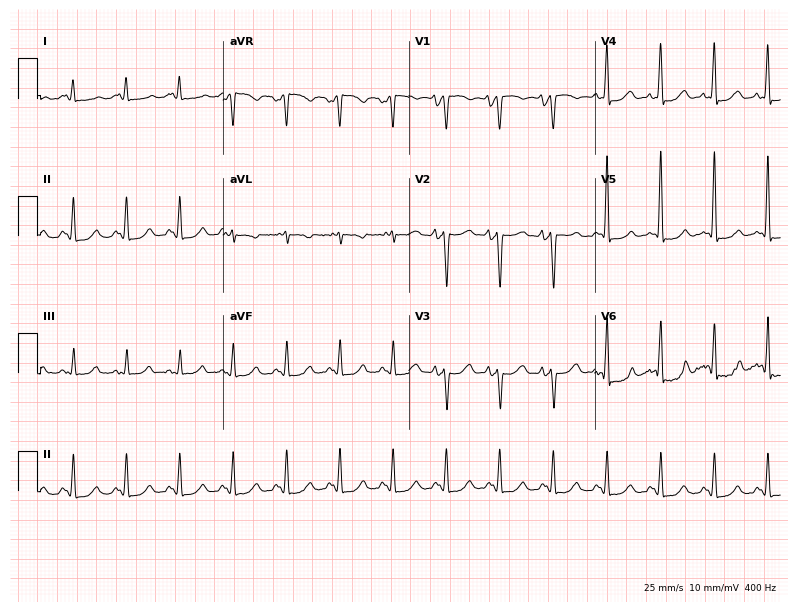
ECG (7.6-second recording at 400 Hz) — a 42-year-old female. Findings include sinus tachycardia (a sinus rate of 100 beats per minute or more).